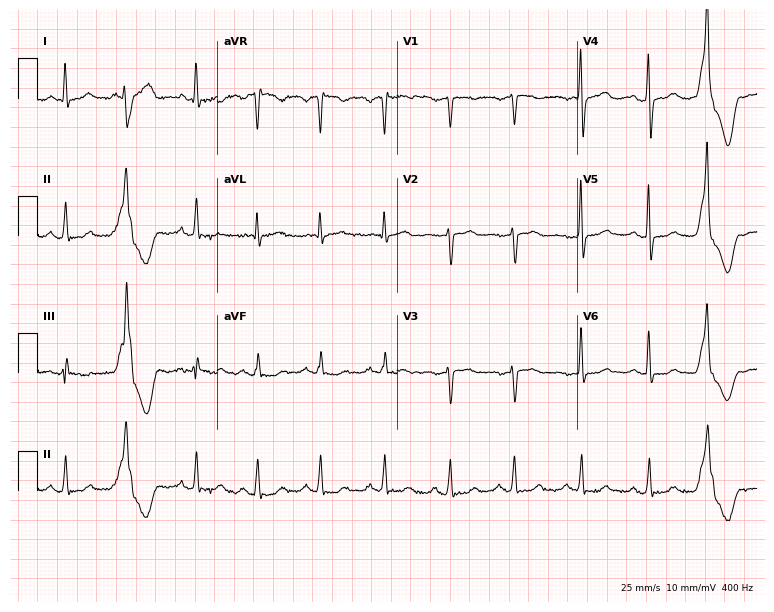
Resting 12-lead electrocardiogram (7.3-second recording at 400 Hz). Patient: a 53-year-old female. None of these six findings is recorded: first-degree AV block, right bundle branch block, left bundle branch block, sinus bradycardia, atrial fibrillation, sinus tachycardia.